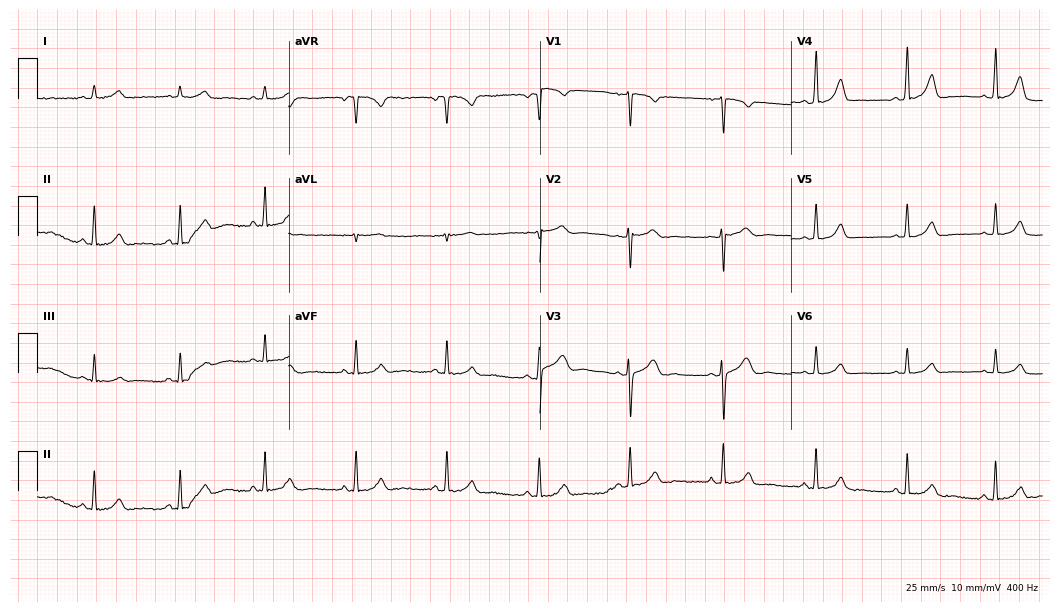
Standard 12-lead ECG recorded from a female patient, 26 years old. Read as a normal ECG.